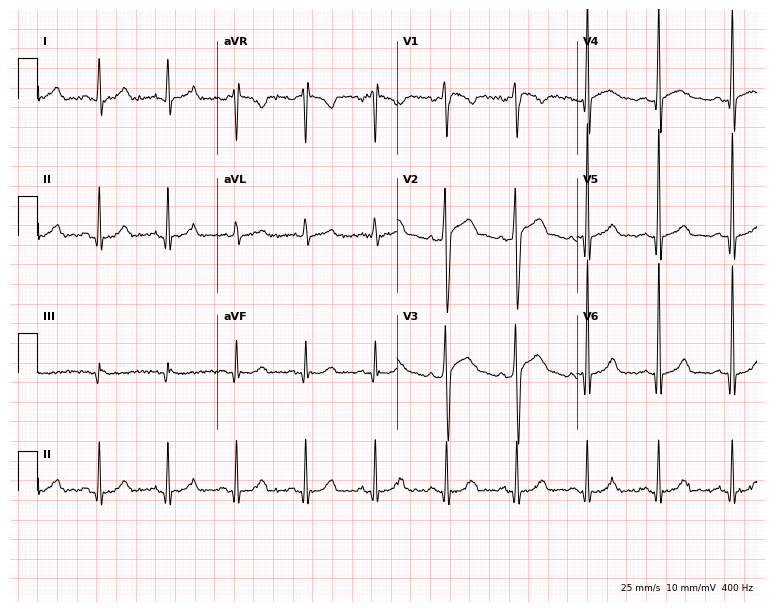
12-lead ECG (7.3-second recording at 400 Hz) from a 38-year-old male. Screened for six findings — first-degree AV block, right bundle branch block, left bundle branch block, sinus bradycardia, atrial fibrillation, sinus tachycardia — none is recorded.